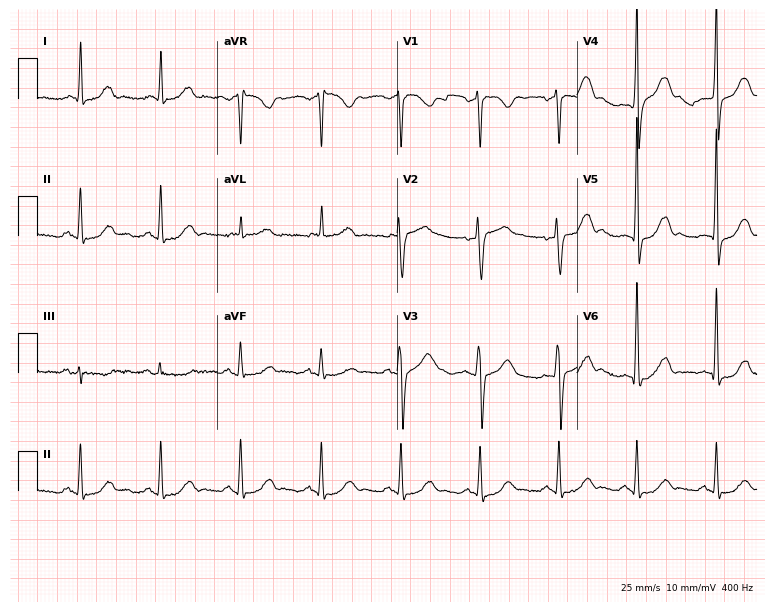
ECG (7.3-second recording at 400 Hz) — a male, 49 years old. Labelled as a normal ECG.